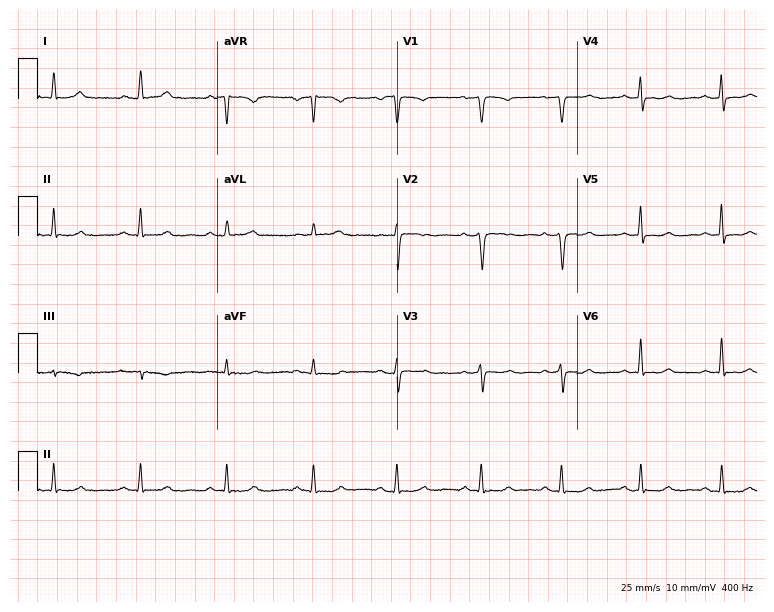
Electrocardiogram (7.3-second recording at 400 Hz), a female, 54 years old. Of the six screened findings (first-degree AV block, right bundle branch block, left bundle branch block, sinus bradycardia, atrial fibrillation, sinus tachycardia), none is recorded.